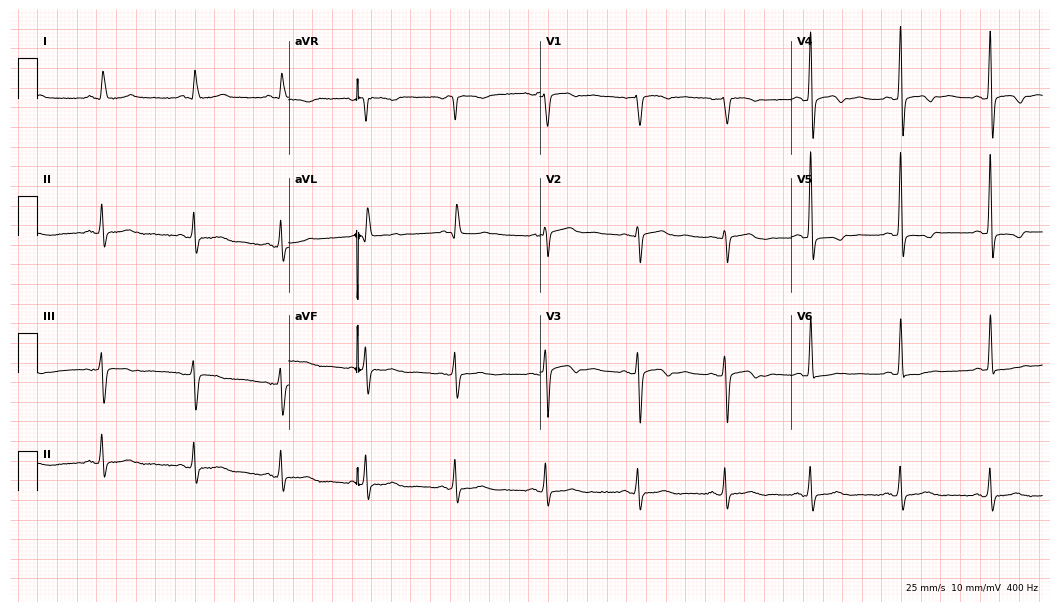
Standard 12-lead ECG recorded from an 84-year-old female. None of these six findings is recorded: first-degree AV block, right bundle branch block (RBBB), left bundle branch block (LBBB), sinus bradycardia, atrial fibrillation (AF), sinus tachycardia. Other findings, if any, are not listed.